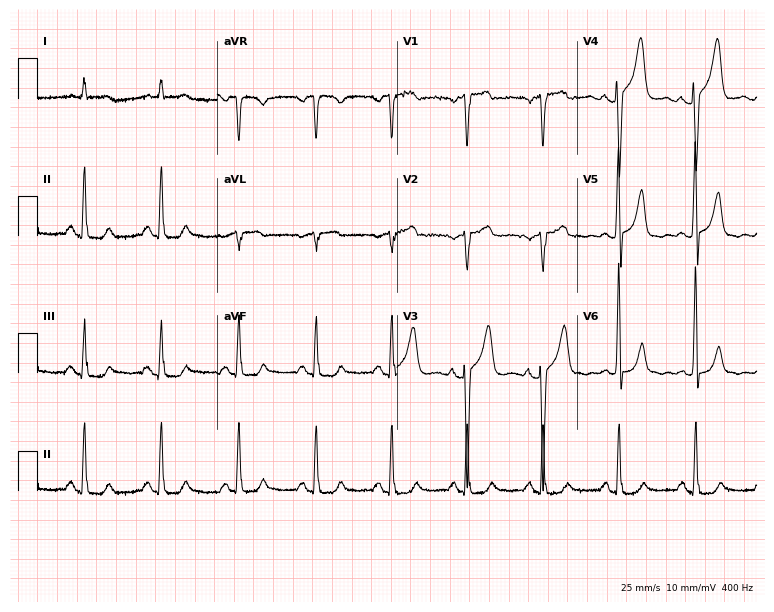
ECG (7.3-second recording at 400 Hz) — a male patient, 79 years old. Screened for six findings — first-degree AV block, right bundle branch block (RBBB), left bundle branch block (LBBB), sinus bradycardia, atrial fibrillation (AF), sinus tachycardia — none is recorded. Findings outside these six are not listed.